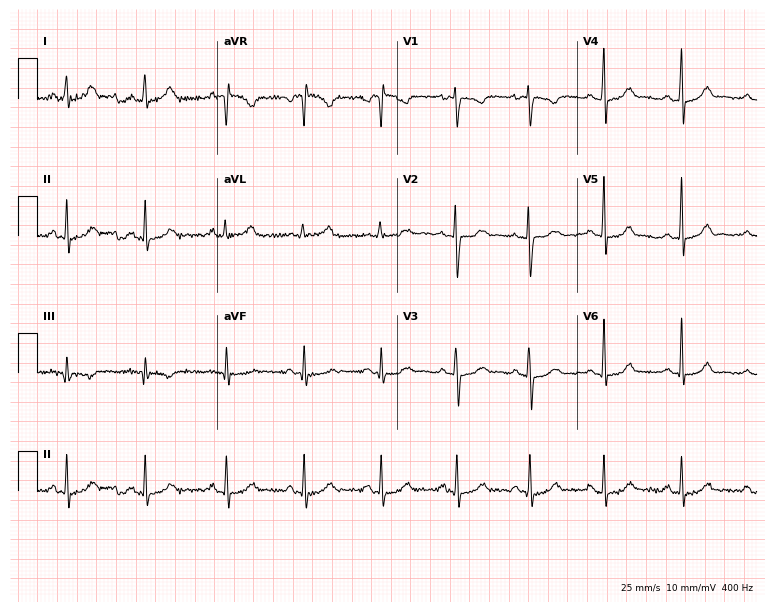
ECG (7.3-second recording at 400 Hz) — a female patient, 32 years old. Labelled as a normal ECG.